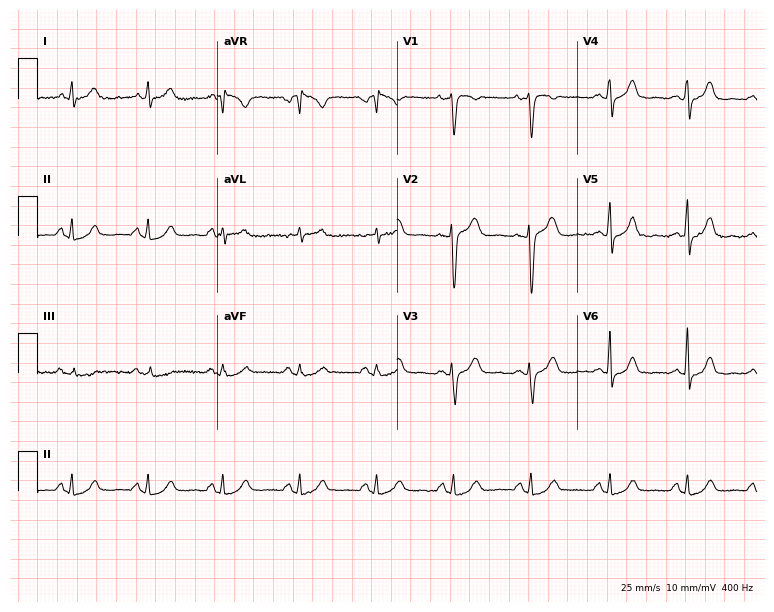
12-lead ECG from a female patient, 39 years old (7.3-second recording at 400 Hz). Recorded interpretation: within normal limits.